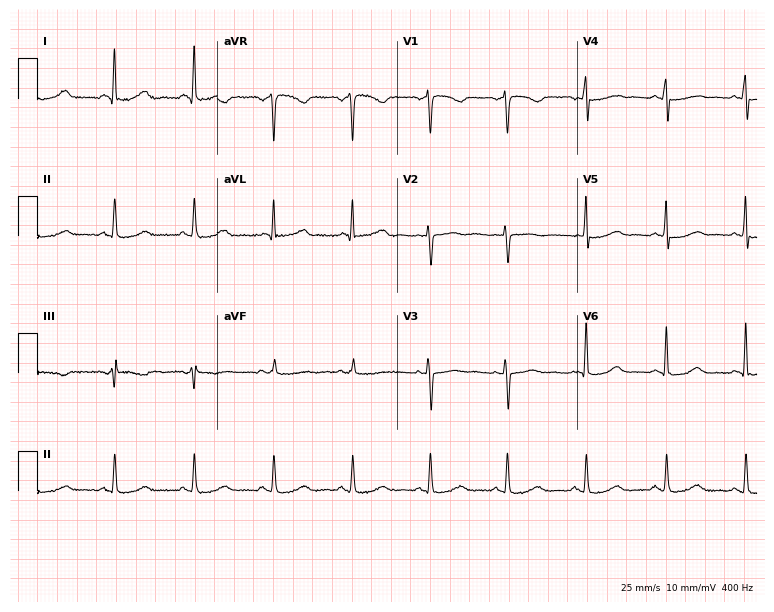
12-lead ECG from a female patient, 46 years old (7.3-second recording at 400 Hz). Recorded interpretation: within normal limits.